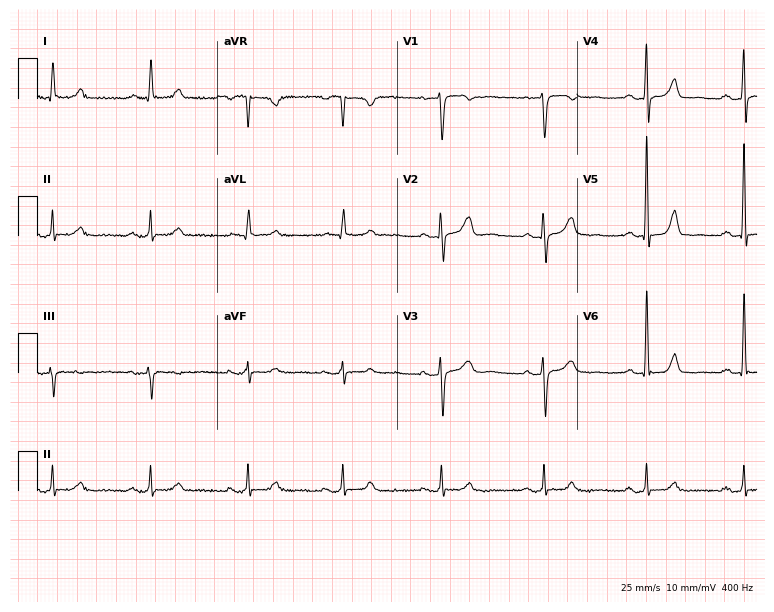
Standard 12-lead ECG recorded from a female, 75 years old (7.3-second recording at 400 Hz). Read as a normal ECG.